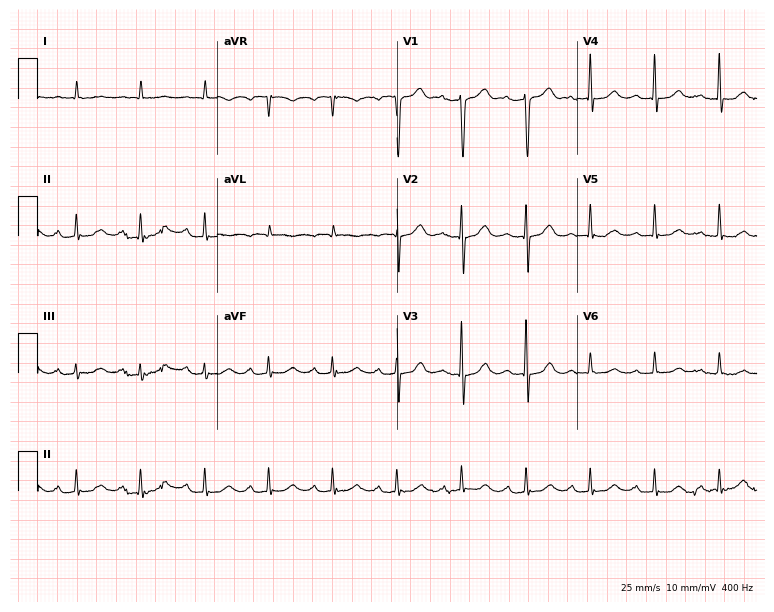
12-lead ECG (7.3-second recording at 400 Hz) from a 79-year-old man. Labelled as a normal ECG.